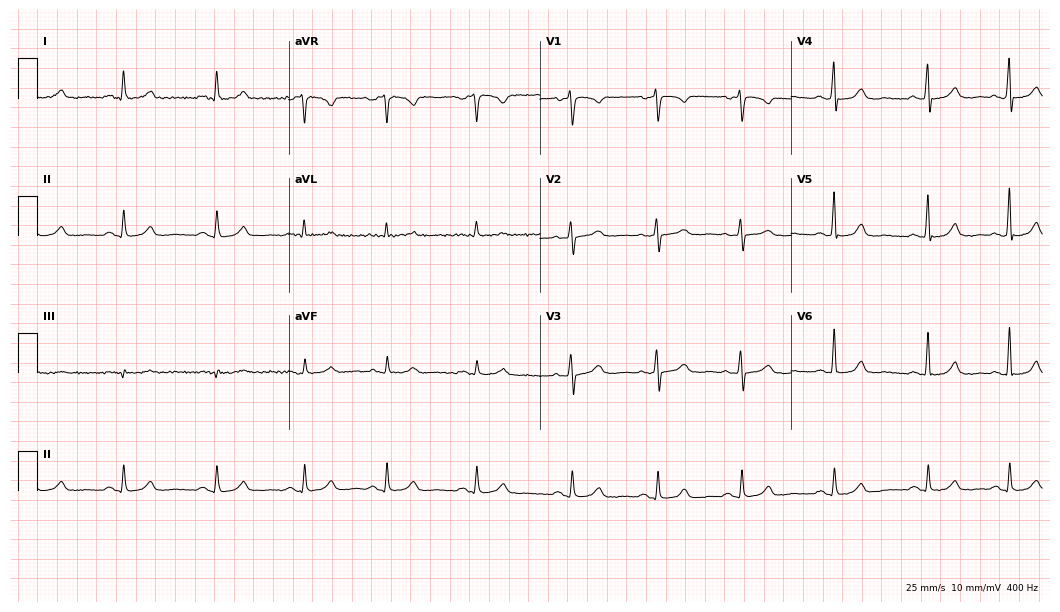
Standard 12-lead ECG recorded from a 57-year-old woman. None of these six findings is recorded: first-degree AV block, right bundle branch block, left bundle branch block, sinus bradycardia, atrial fibrillation, sinus tachycardia. Other findings, if any, are not listed.